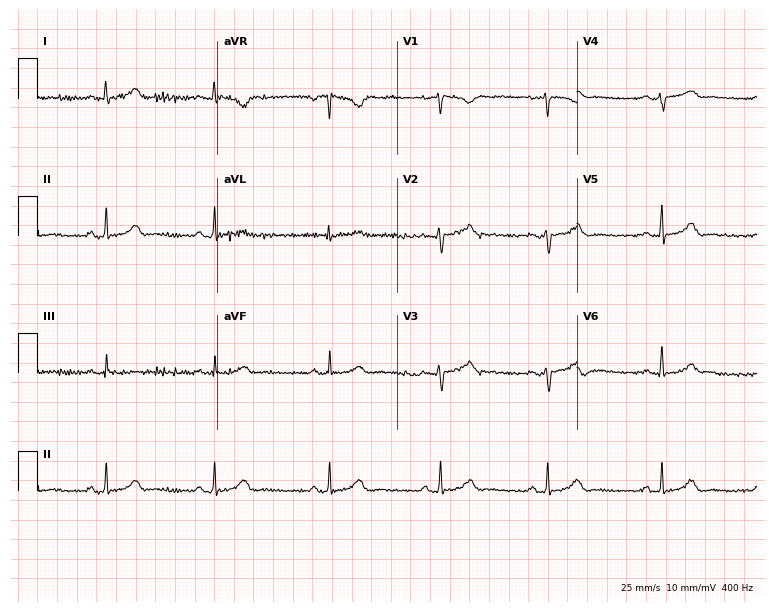
Resting 12-lead electrocardiogram (7.3-second recording at 400 Hz). Patient: a female, 38 years old. Read as a normal ECG.